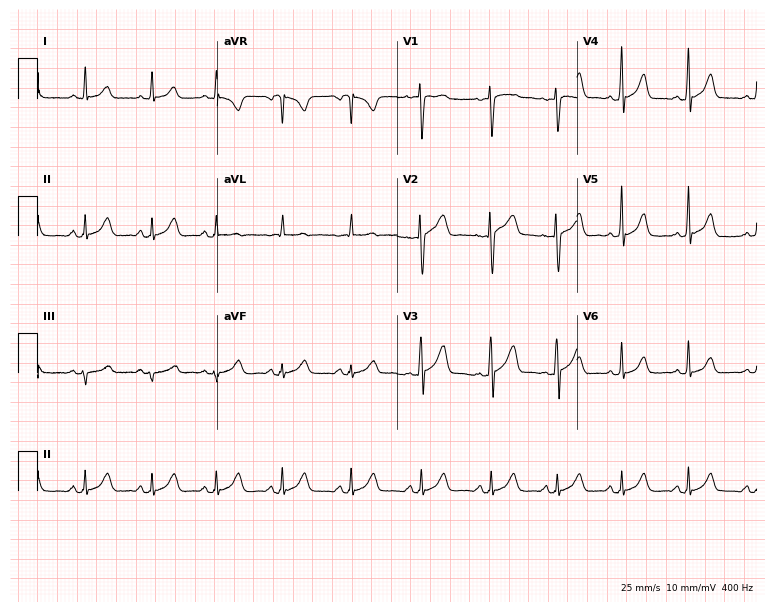
Electrocardiogram (7.3-second recording at 400 Hz), a 43-year-old woman. Overall reading on record: normal ECG.